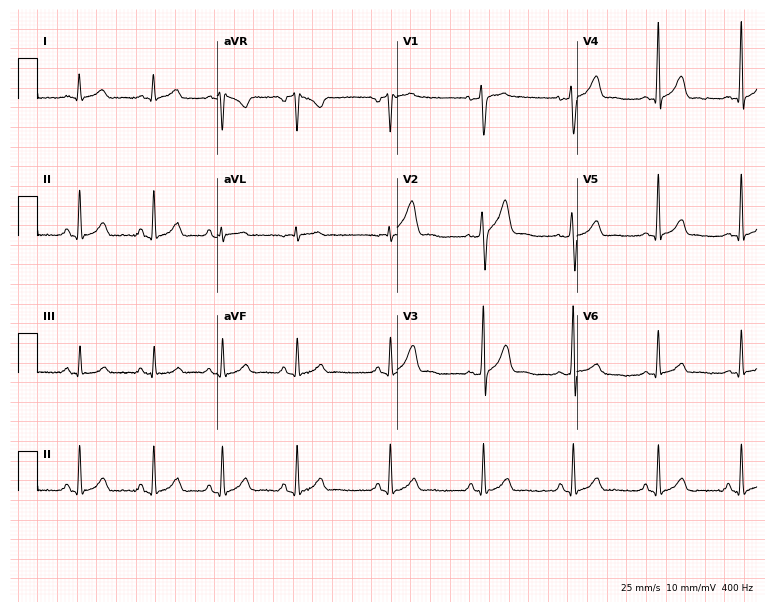
ECG (7.3-second recording at 400 Hz) — a 30-year-old man. Screened for six findings — first-degree AV block, right bundle branch block, left bundle branch block, sinus bradycardia, atrial fibrillation, sinus tachycardia — none is recorded. Other findings, if any, are not listed.